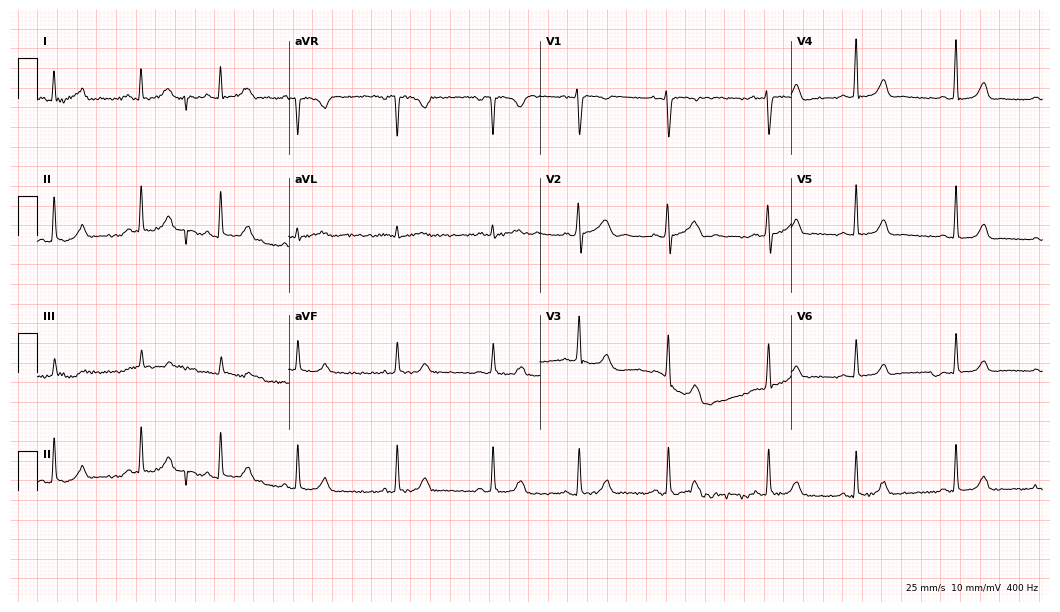
12-lead ECG (10.2-second recording at 400 Hz) from a 36-year-old female patient. Screened for six findings — first-degree AV block, right bundle branch block, left bundle branch block, sinus bradycardia, atrial fibrillation, sinus tachycardia — none is recorded.